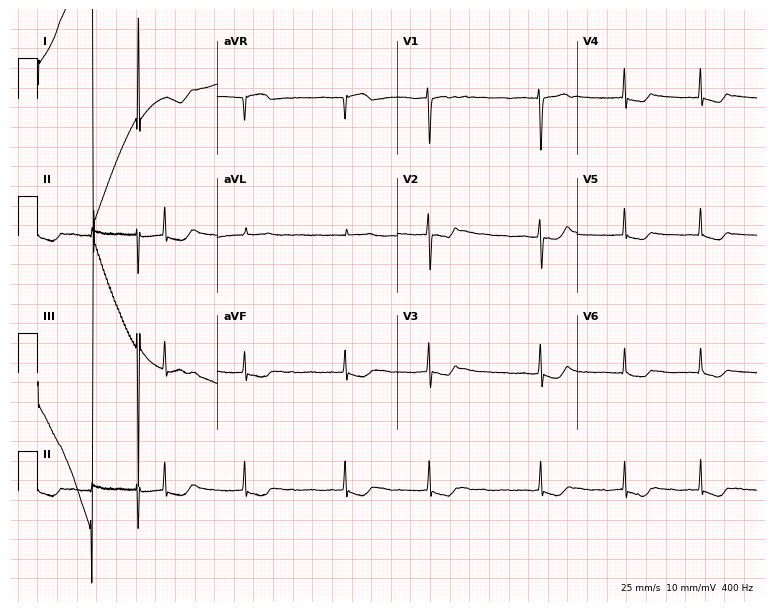
12-lead ECG from a 72-year-old female (7.3-second recording at 400 Hz). Shows atrial fibrillation (AF).